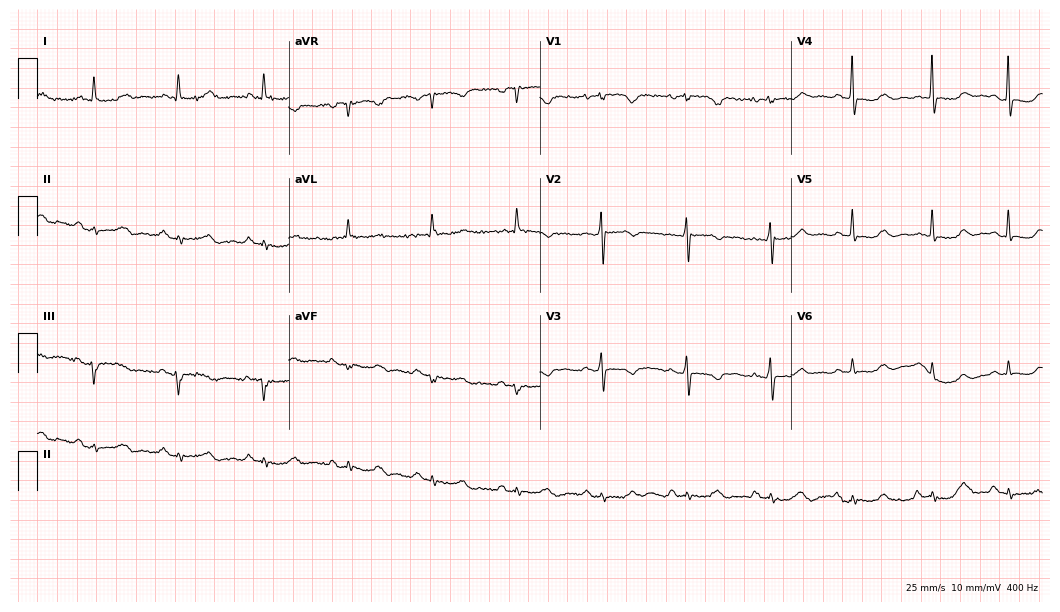
Resting 12-lead electrocardiogram (10.2-second recording at 400 Hz). Patient: a 74-year-old female. None of these six findings is recorded: first-degree AV block, right bundle branch block, left bundle branch block, sinus bradycardia, atrial fibrillation, sinus tachycardia.